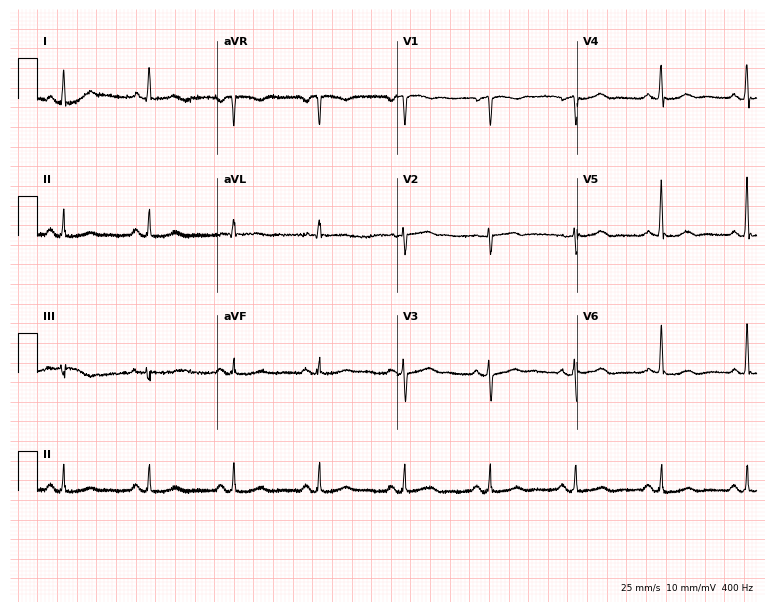
ECG — a woman, 51 years old. Labelled as a normal ECG.